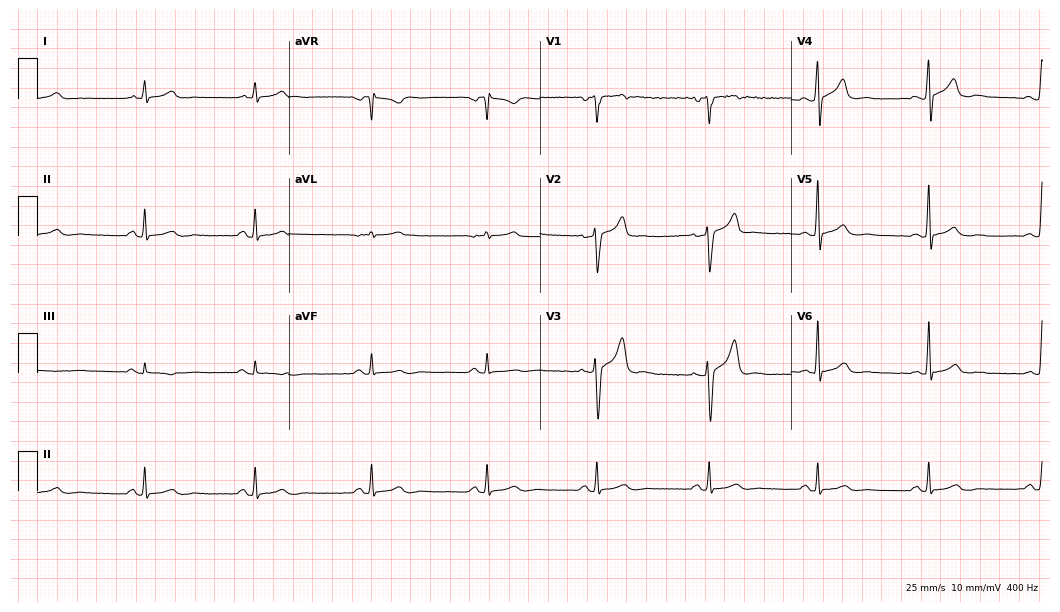
Standard 12-lead ECG recorded from a 49-year-old male patient. Read as a normal ECG.